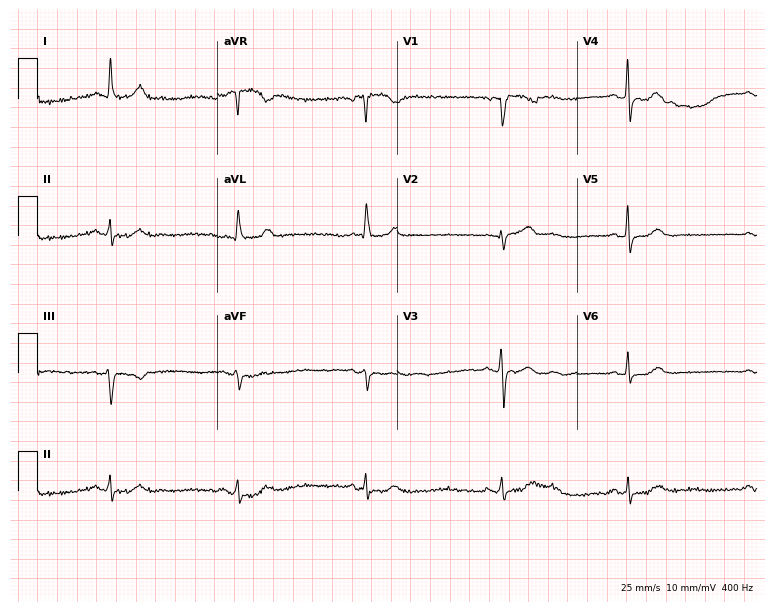
12-lead ECG from a male, 51 years old. Recorded interpretation: within normal limits.